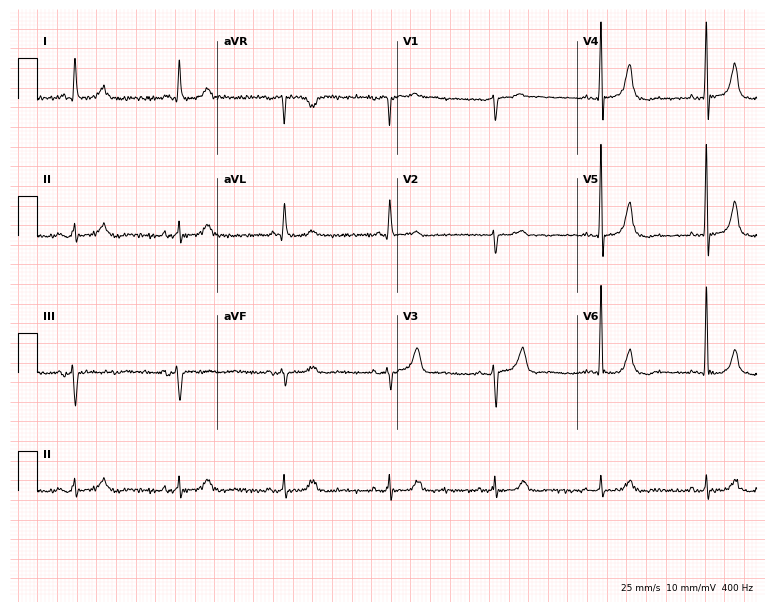
12-lead ECG from a man, 80 years old. Screened for six findings — first-degree AV block, right bundle branch block (RBBB), left bundle branch block (LBBB), sinus bradycardia, atrial fibrillation (AF), sinus tachycardia — none is recorded. Findings outside these six are not listed.